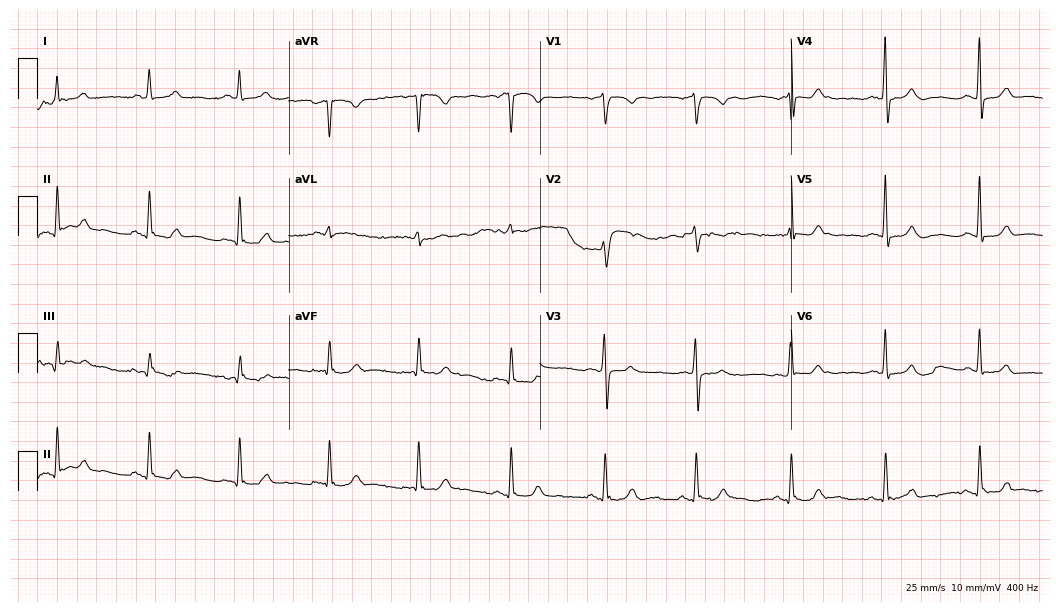
12-lead ECG (10.2-second recording at 400 Hz) from a 74-year-old woman. Labelled as a normal ECG.